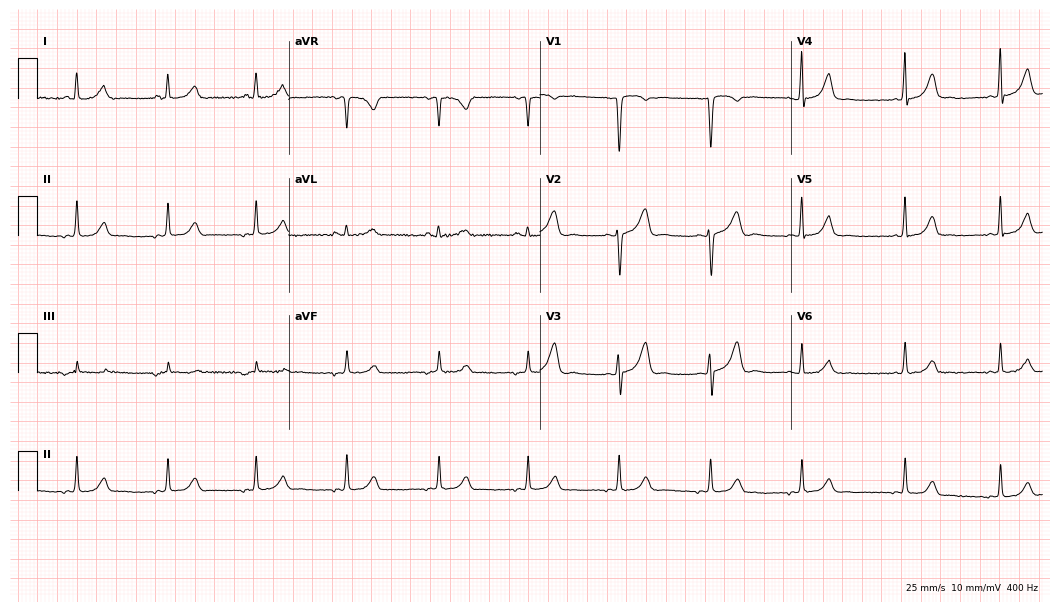
Standard 12-lead ECG recorded from a female, 37 years old. None of these six findings is recorded: first-degree AV block, right bundle branch block, left bundle branch block, sinus bradycardia, atrial fibrillation, sinus tachycardia.